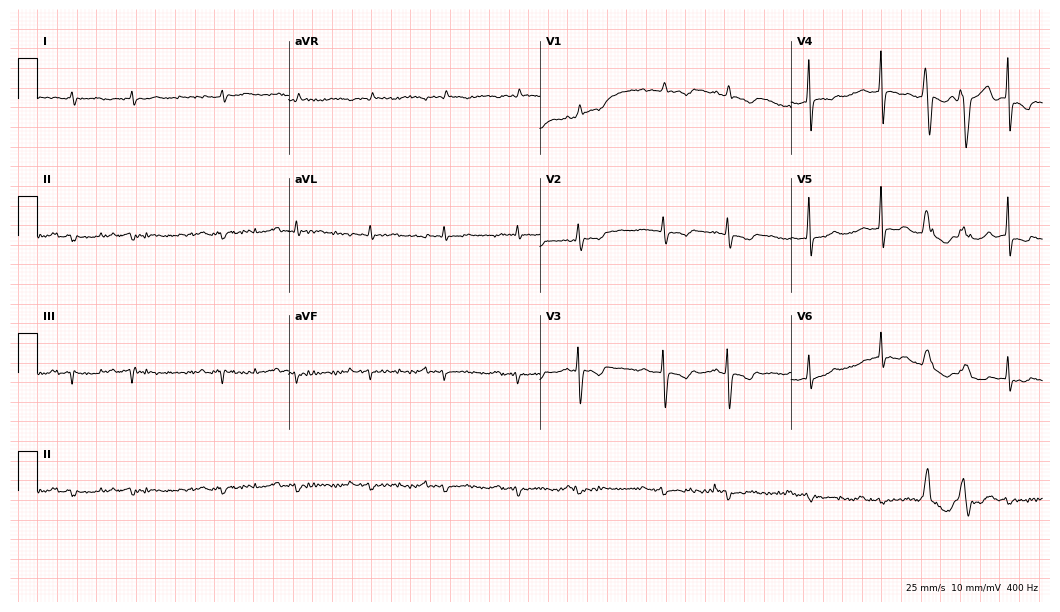
Electrocardiogram, a man, 82 years old. Of the six screened findings (first-degree AV block, right bundle branch block, left bundle branch block, sinus bradycardia, atrial fibrillation, sinus tachycardia), none is recorded.